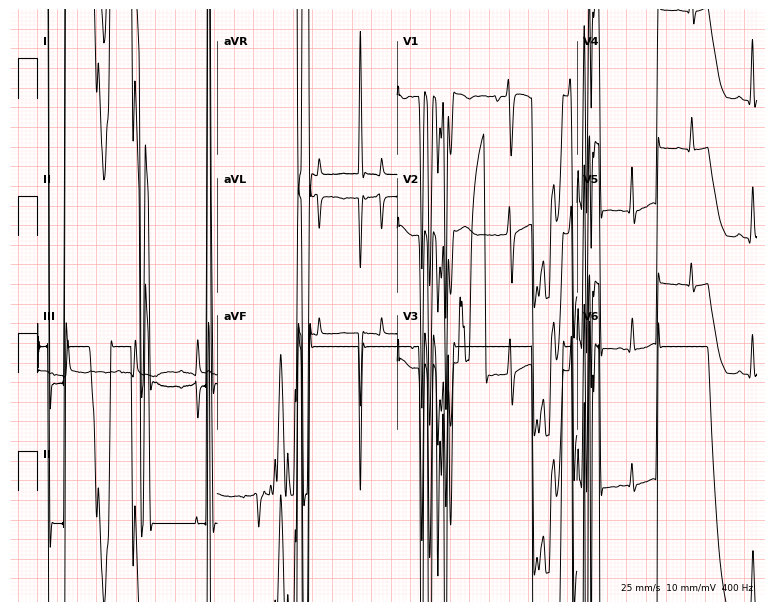
Resting 12-lead electrocardiogram (7.3-second recording at 400 Hz). Patient: a 28-year-old female. None of these six findings is recorded: first-degree AV block, right bundle branch block (RBBB), left bundle branch block (LBBB), sinus bradycardia, atrial fibrillation (AF), sinus tachycardia.